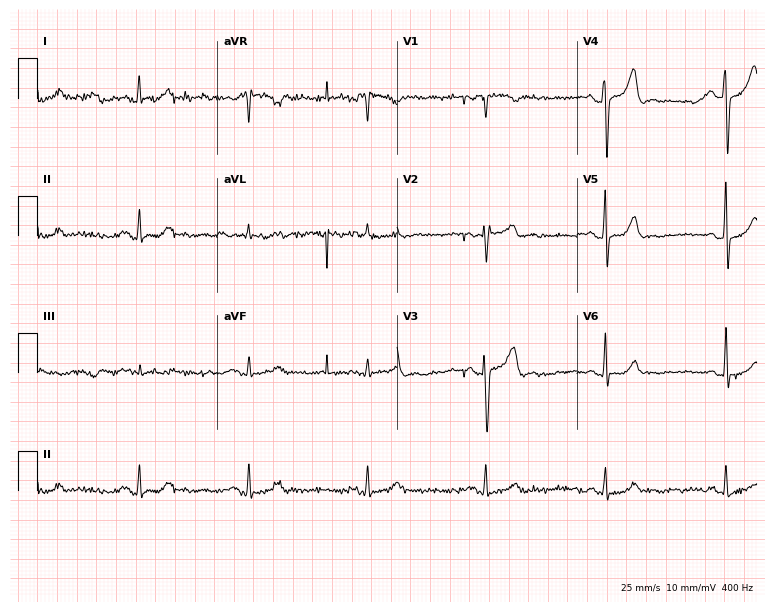
12-lead ECG (7.3-second recording at 400 Hz) from a 65-year-old male. Screened for six findings — first-degree AV block, right bundle branch block (RBBB), left bundle branch block (LBBB), sinus bradycardia, atrial fibrillation (AF), sinus tachycardia — none is recorded. Only these six findings were labelled.